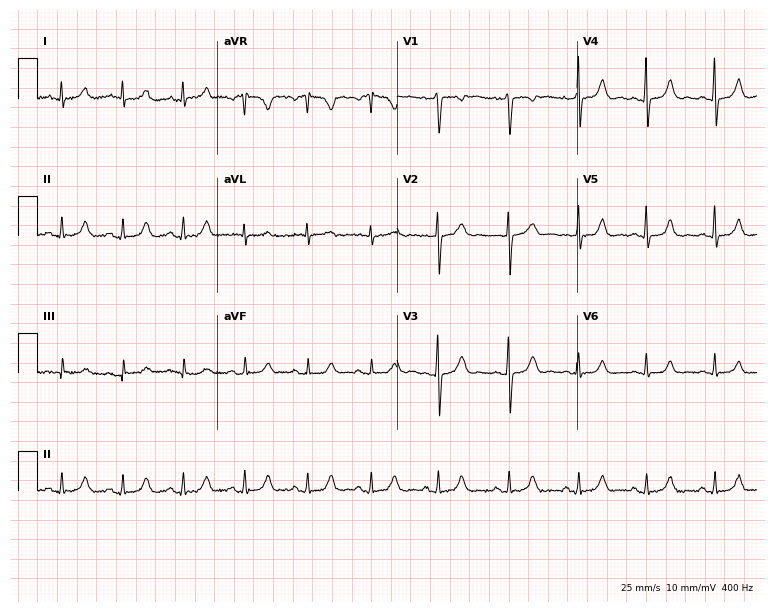
ECG (7.3-second recording at 400 Hz) — a woman, 37 years old. Labelled as a normal ECG.